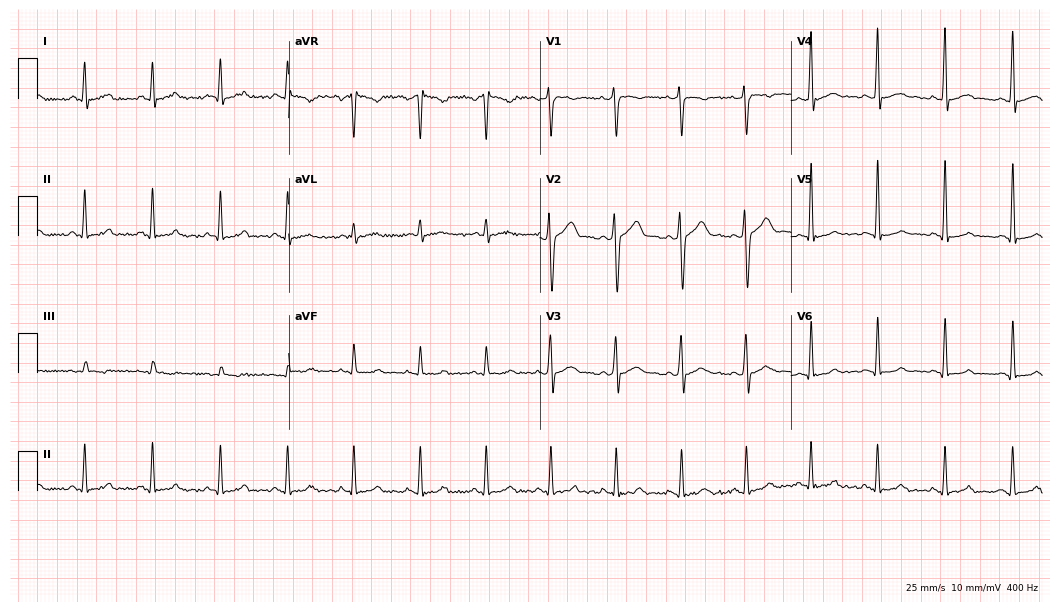
12-lead ECG from a 22-year-old male patient (10.2-second recording at 400 Hz). Recorded interpretation: within normal limits.